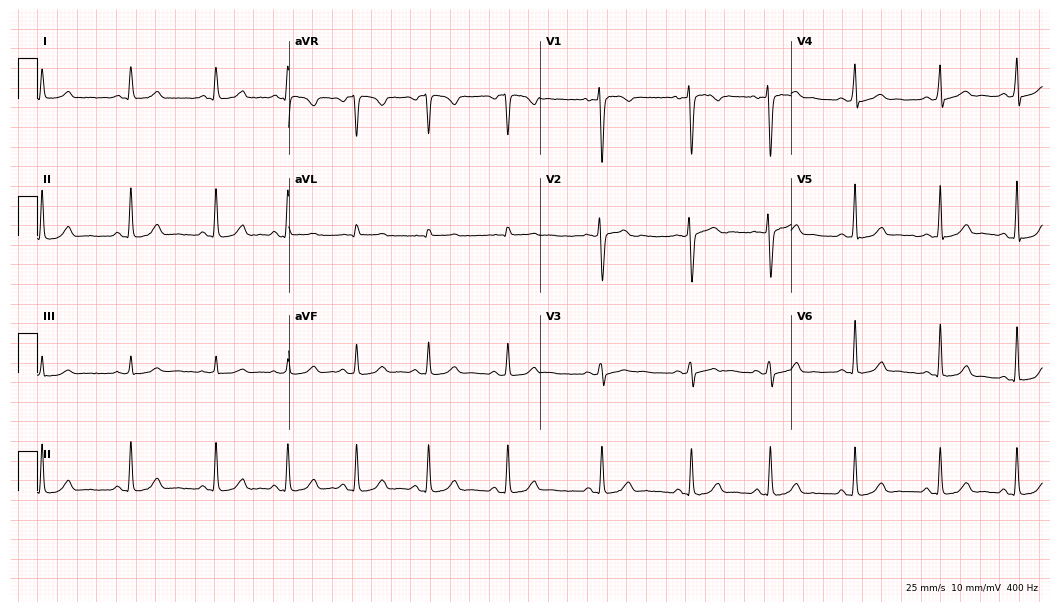
ECG (10.2-second recording at 400 Hz) — a 33-year-old woman. Labelled as a normal ECG.